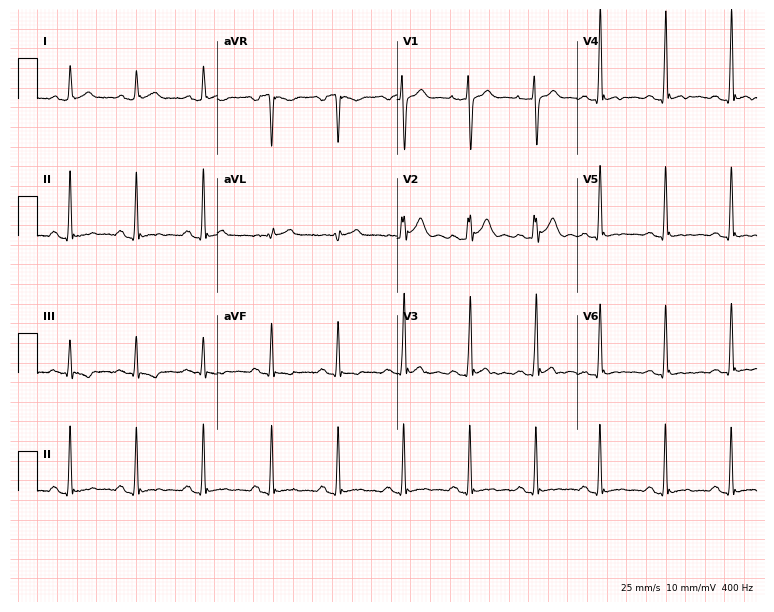
Standard 12-lead ECG recorded from a male patient, 21 years old. None of these six findings is recorded: first-degree AV block, right bundle branch block (RBBB), left bundle branch block (LBBB), sinus bradycardia, atrial fibrillation (AF), sinus tachycardia.